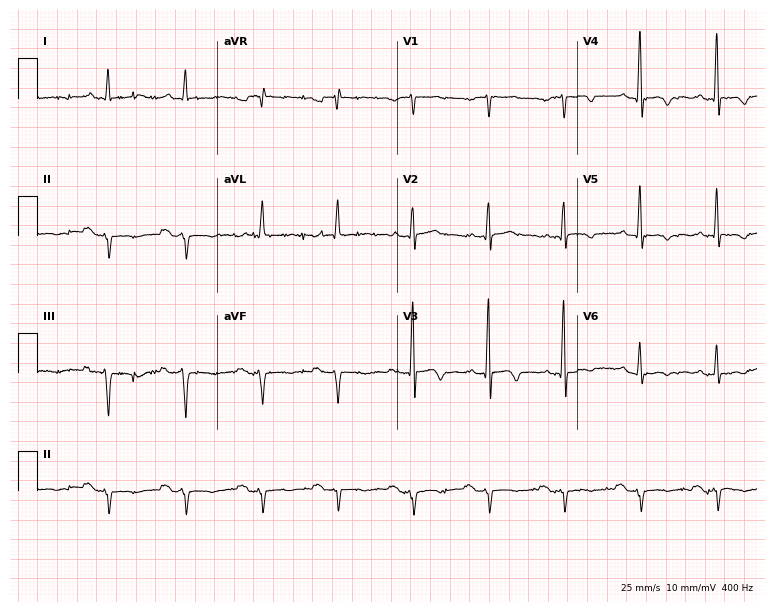
12-lead ECG (7.3-second recording at 400 Hz) from an 82-year-old female patient. Screened for six findings — first-degree AV block, right bundle branch block, left bundle branch block, sinus bradycardia, atrial fibrillation, sinus tachycardia — none is recorded. Findings outside these six are not listed.